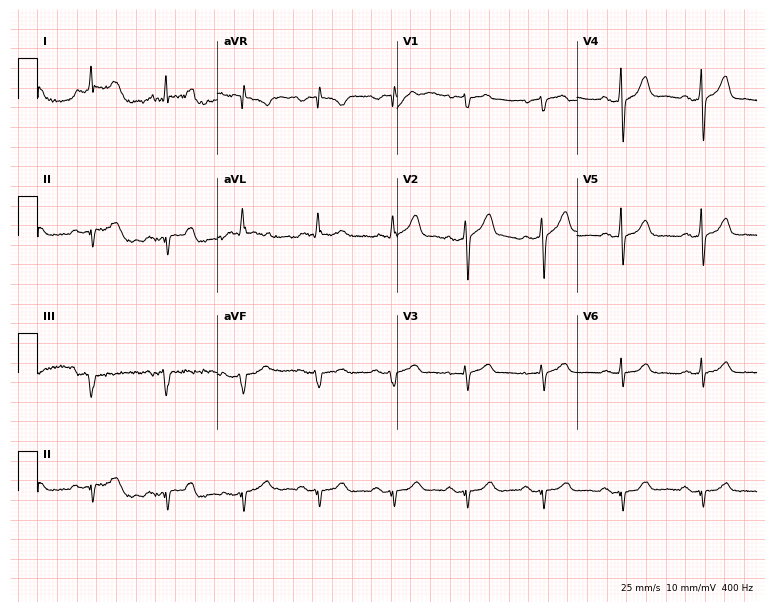
Electrocardiogram (7.3-second recording at 400 Hz), a male, 56 years old. Of the six screened findings (first-degree AV block, right bundle branch block, left bundle branch block, sinus bradycardia, atrial fibrillation, sinus tachycardia), none is recorded. Findings outside these six are not listed.